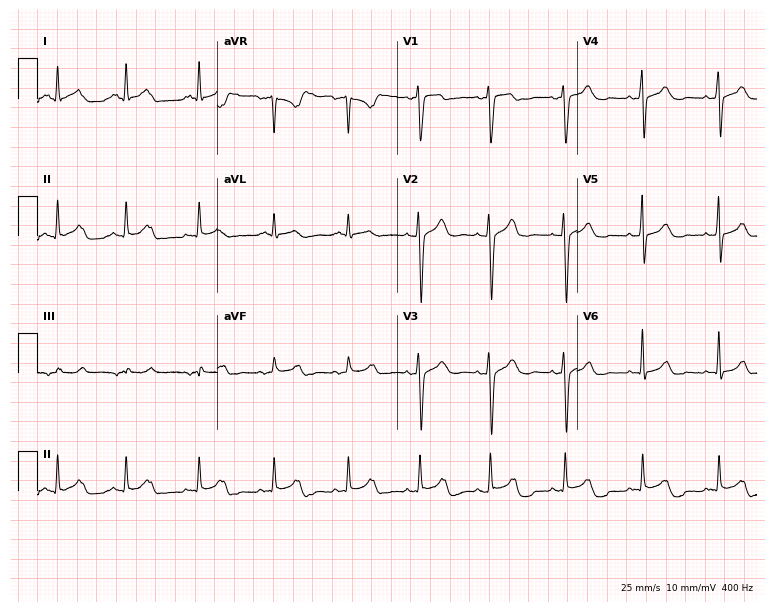
Standard 12-lead ECG recorded from a 33-year-old woman (7.3-second recording at 400 Hz). None of these six findings is recorded: first-degree AV block, right bundle branch block, left bundle branch block, sinus bradycardia, atrial fibrillation, sinus tachycardia. Findings outside these six are not listed.